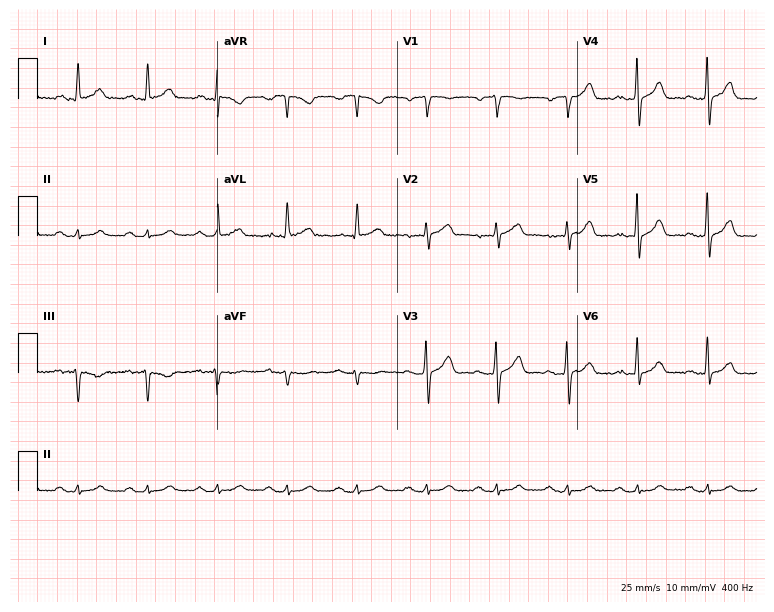
12-lead ECG from a man, 76 years old (7.3-second recording at 400 Hz). Recorded interpretation: within normal limits.